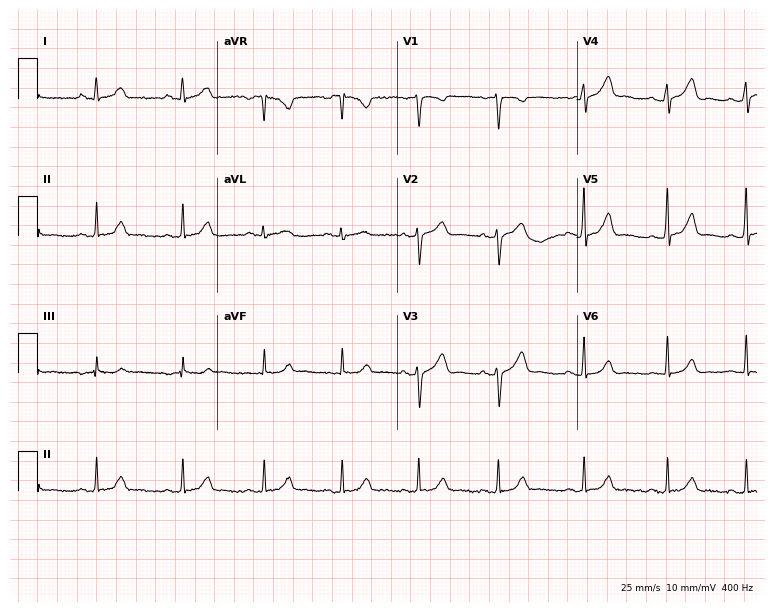
Standard 12-lead ECG recorded from a female patient, 26 years old. None of these six findings is recorded: first-degree AV block, right bundle branch block (RBBB), left bundle branch block (LBBB), sinus bradycardia, atrial fibrillation (AF), sinus tachycardia. Only these six findings were labelled.